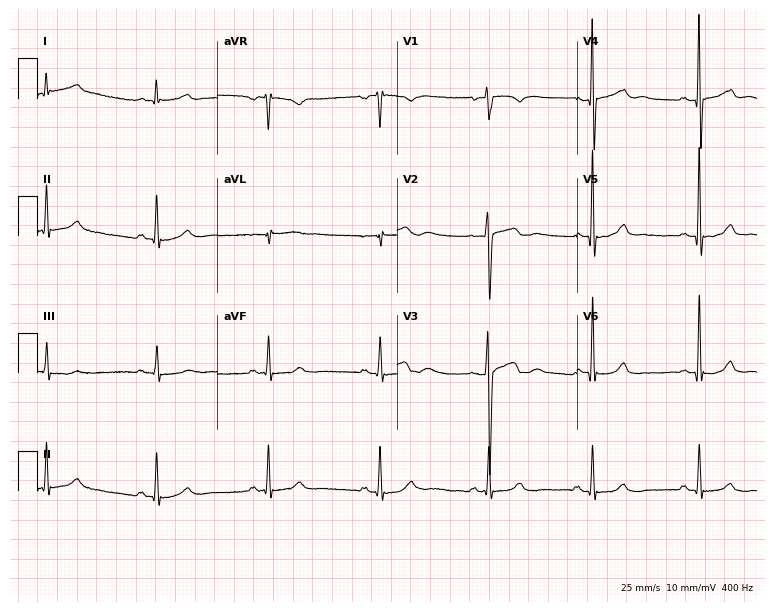
12-lead ECG (7.3-second recording at 400 Hz) from a man, 53 years old. Labelled as a normal ECG.